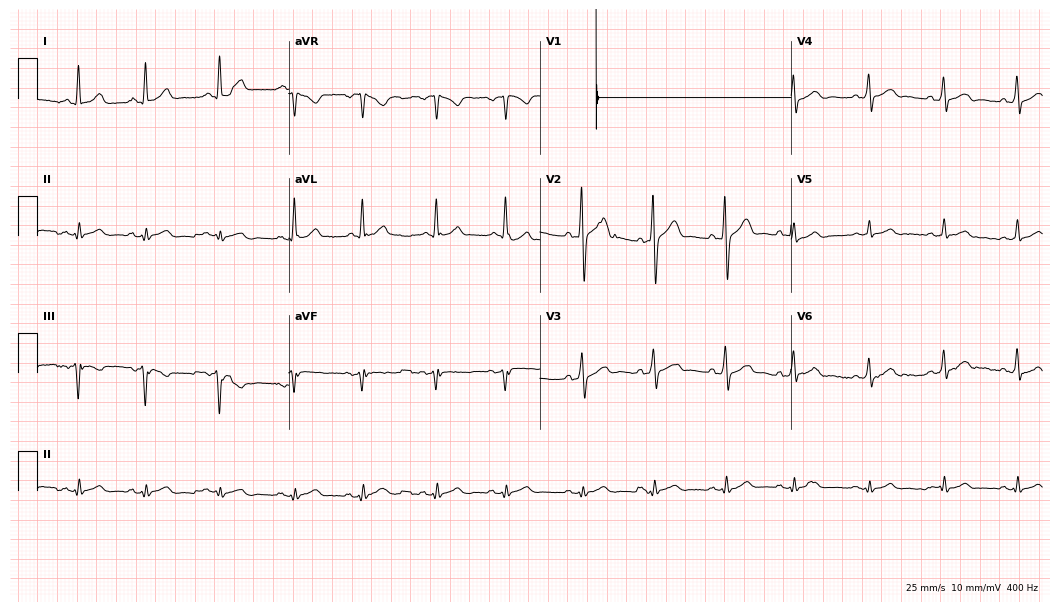
ECG (10.2-second recording at 400 Hz) — a 40-year-old male. Screened for six findings — first-degree AV block, right bundle branch block (RBBB), left bundle branch block (LBBB), sinus bradycardia, atrial fibrillation (AF), sinus tachycardia — none is recorded. Findings outside these six are not listed.